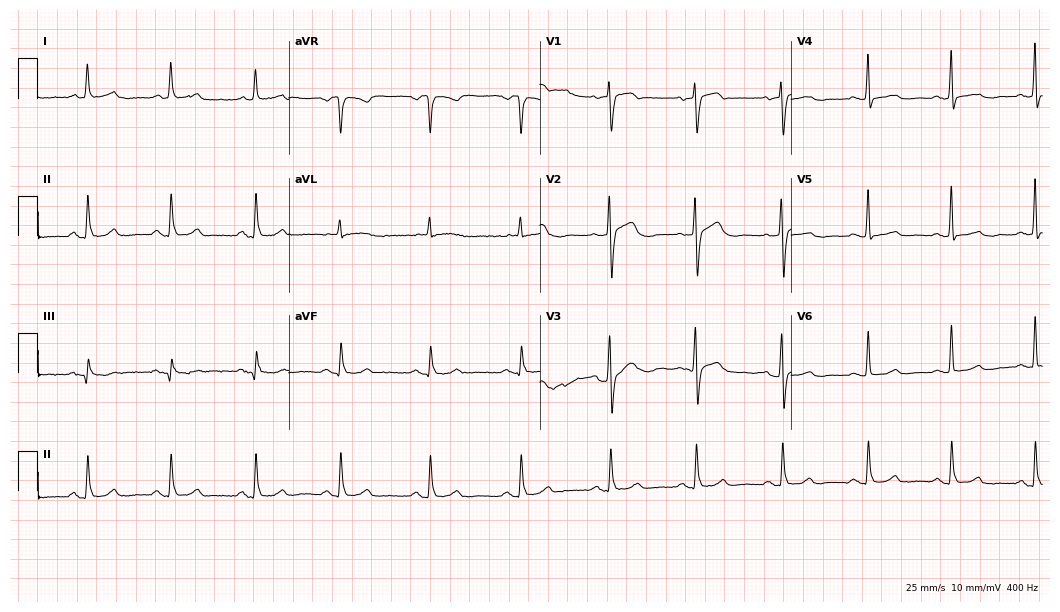
12-lead ECG from a female patient, 67 years old. Labelled as a normal ECG.